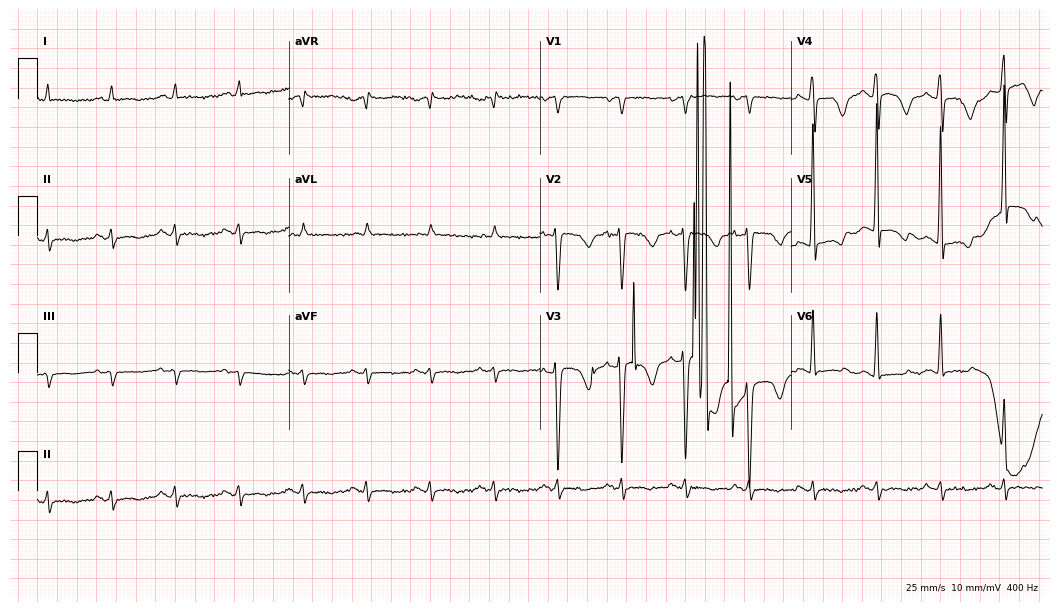
12-lead ECG from a female patient, 55 years old. No first-degree AV block, right bundle branch block (RBBB), left bundle branch block (LBBB), sinus bradycardia, atrial fibrillation (AF) or sinus tachycardia recorded for this tracing. Findings outside these six are not listed.